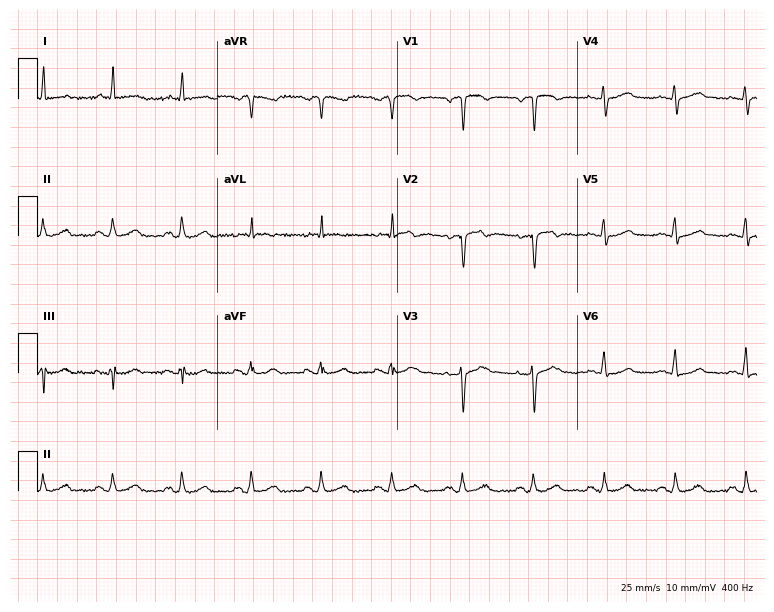
ECG — a male, 64 years old. Labelled as a normal ECG.